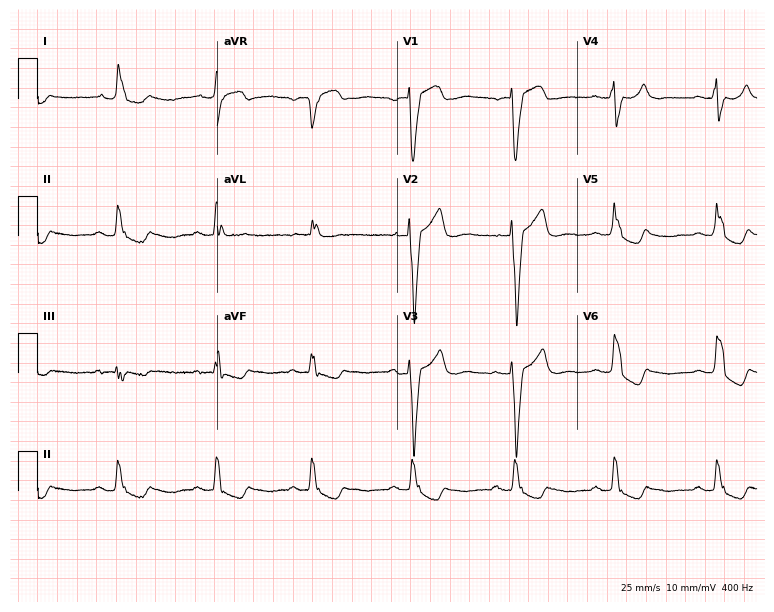
Standard 12-lead ECG recorded from an 85-year-old woman (7.3-second recording at 400 Hz). The tracing shows left bundle branch block.